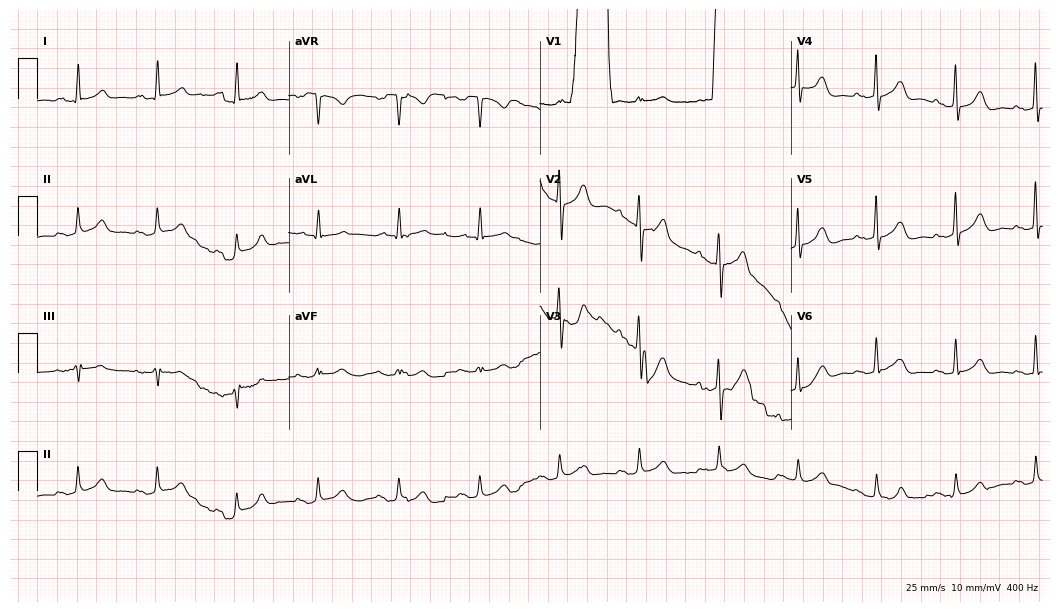
Standard 12-lead ECG recorded from a man, 66 years old (10.2-second recording at 400 Hz). Read as a normal ECG.